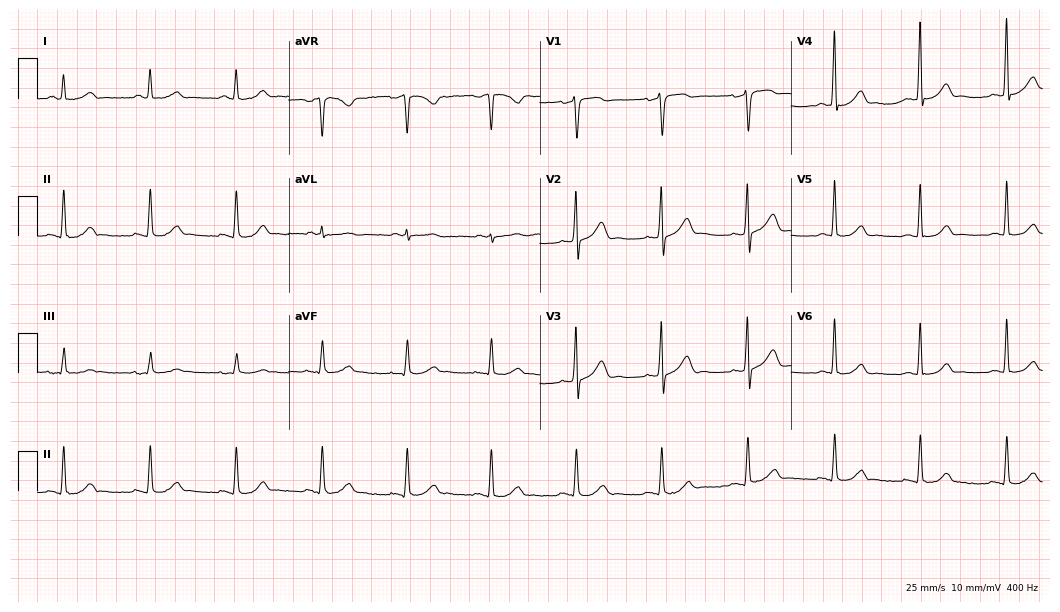
12-lead ECG from a 53-year-old man. Labelled as a normal ECG.